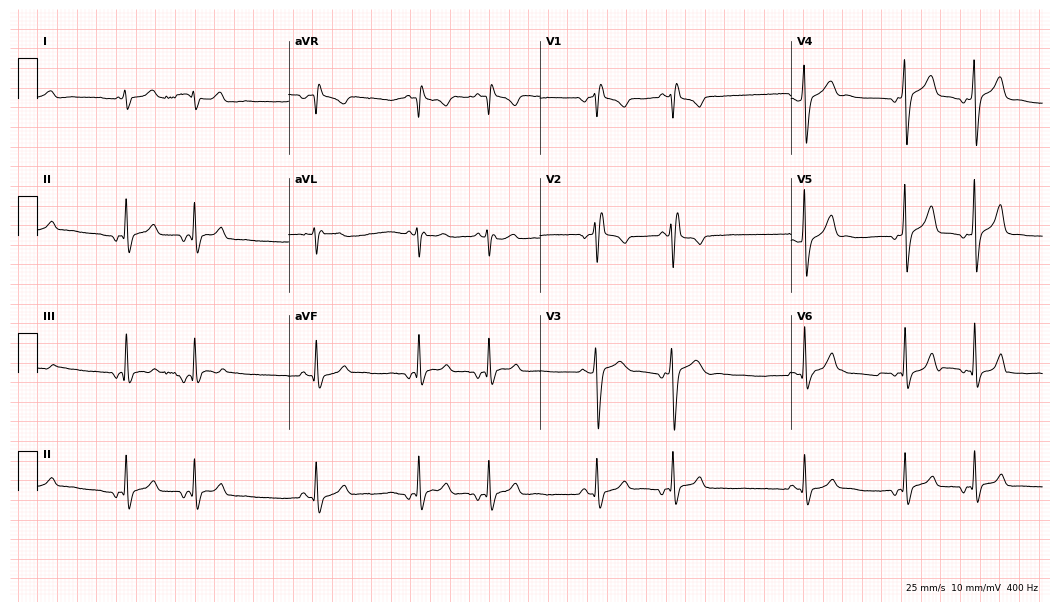
12-lead ECG from a male patient, 23 years old. Findings include right bundle branch block.